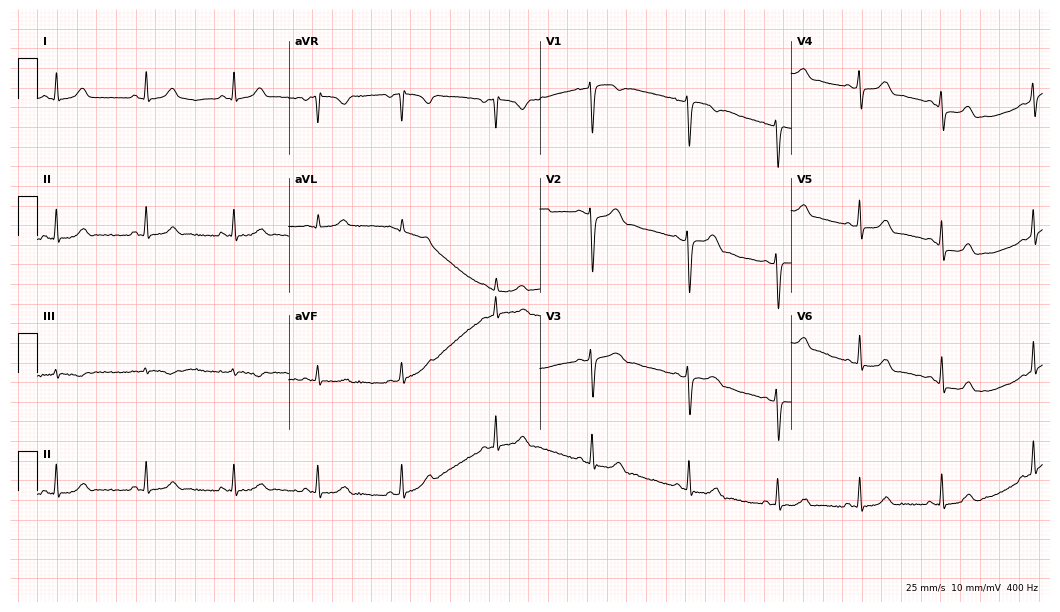
12-lead ECG from a woman, 26 years old (10.2-second recording at 400 Hz). Recorded interpretation: within normal limits.